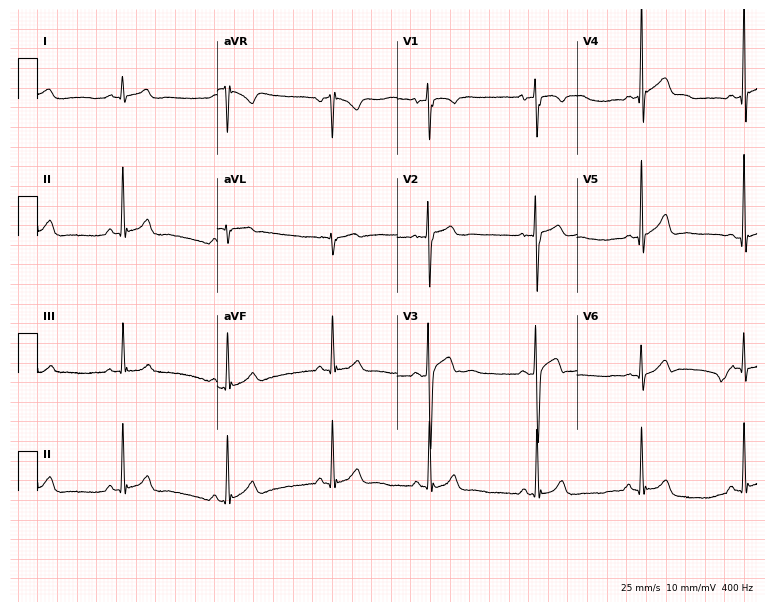
Resting 12-lead electrocardiogram (7.3-second recording at 400 Hz). Patient: a man, 19 years old. None of these six findings is recorded: first-degree AV block, right bundle branch block, left bundle branch block, sinus bradycardia, atrial fibrillation, sinus tachycardia. Only these six findings were labelled.